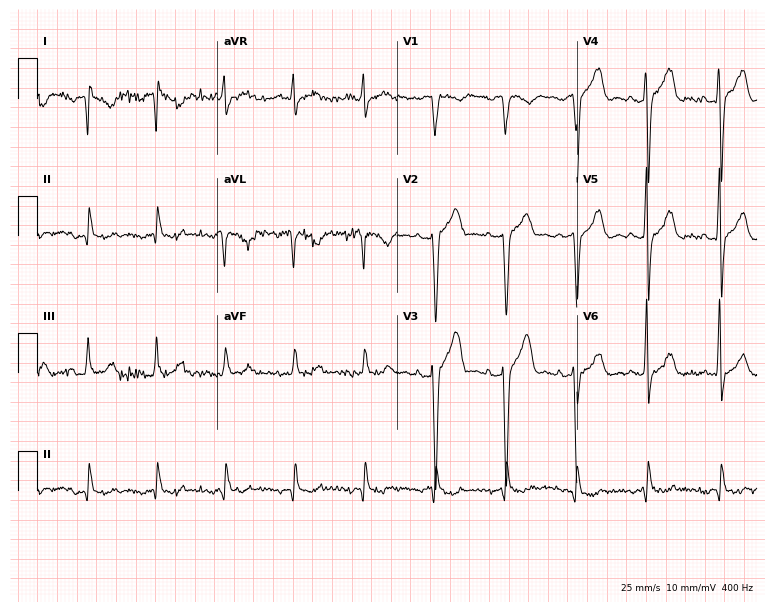
ECG — a 49-year-old man. Screened for six findings — first-degree AV block, right bundle branch block, left bundle branch block, sinus bradycardia, atrial fibrillation, sinus tachycardia — none is recorded.